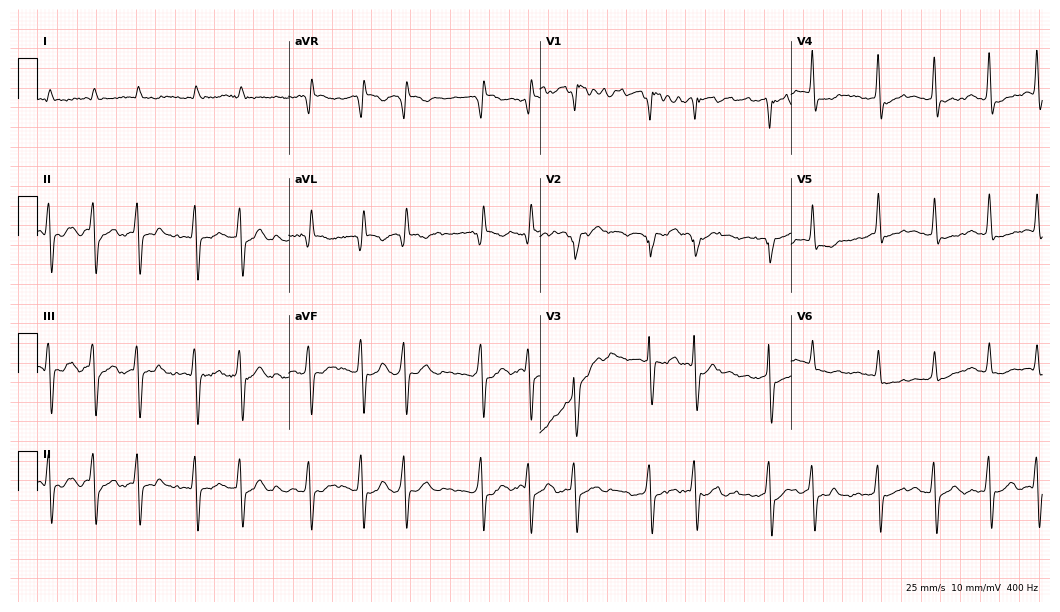
Resting 12-lead electrocardiogram. Patient: an 80-year-old male. The tracing shows atrial fibrillation.